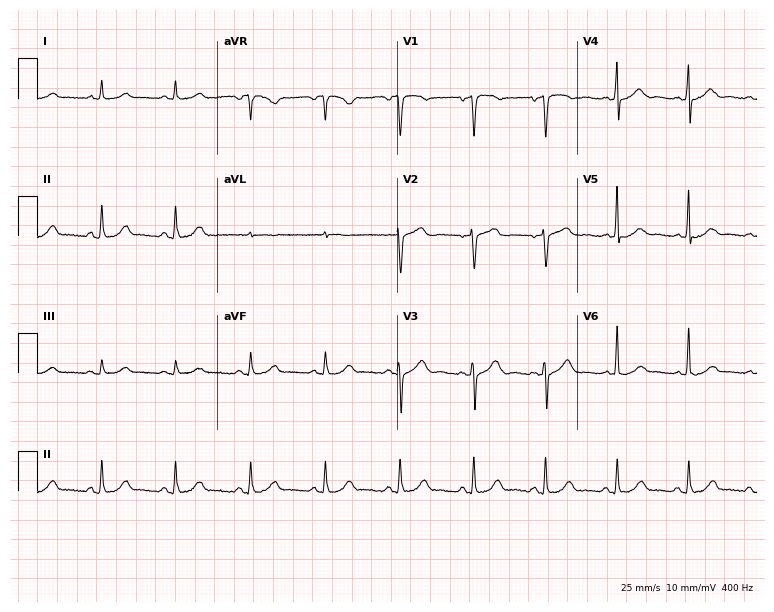
Electrocardiogram (7.3-second recording at 400 Hz), a 76-year-old female patient. Of the six screened findings (first-degree AV block, right bundle branch block (RBBB), left bundle branch block (LBBB), sinus bradycardia, atrial fibrillation (AF), sinus tachycardia), none is recorded. Other findings, if any, are not listed.